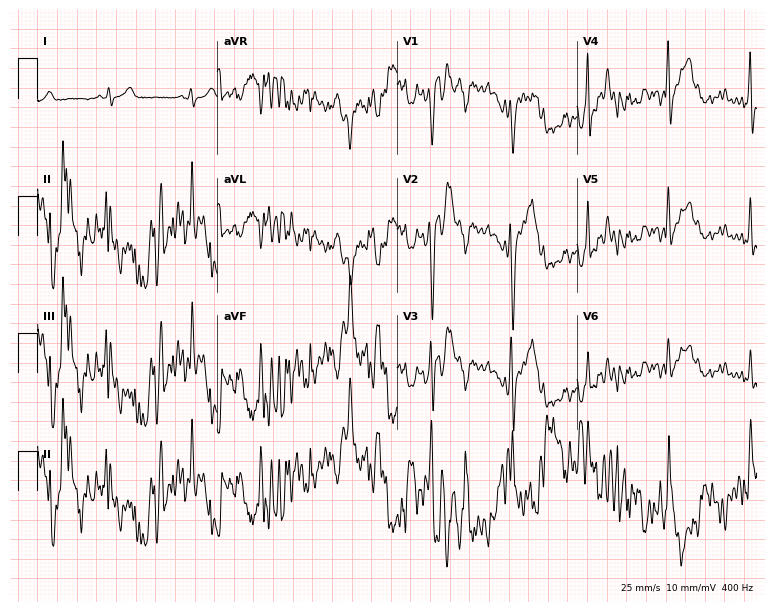
12-lead ECG from a male patient, 22 years old. Screened for six findings — first-degree AV block, right bundle branch block, left bundle branch block, sinus bradycardia, atrial fibrillation, sinus tachycardia — none is recorded. Other findings, if any, are not listed.